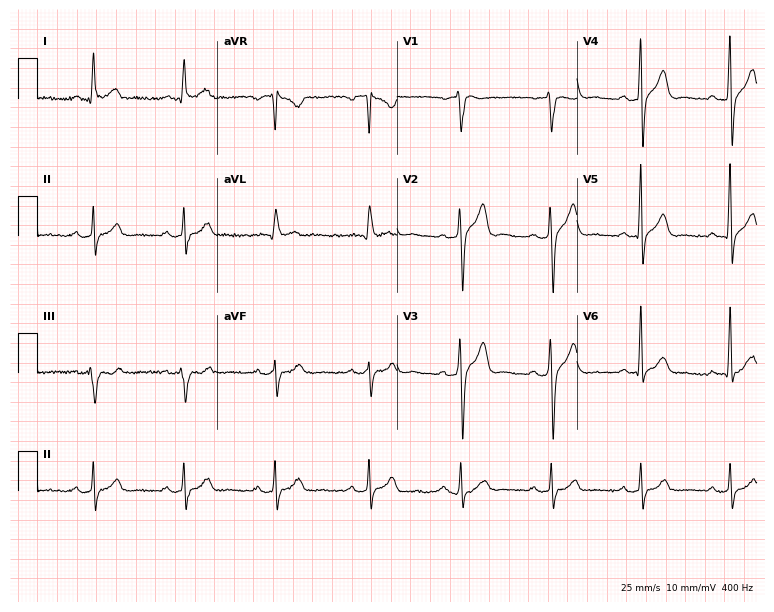
Electrocardiogram (7.3-second recording at 400 Hz), a man, 55 years old. Of the six screened findings (first-degree AV block, right bundle branch block, left bundle branch block, sinus bradycardia, atrial fibrillation, sinus tachycardia), none is recorded.